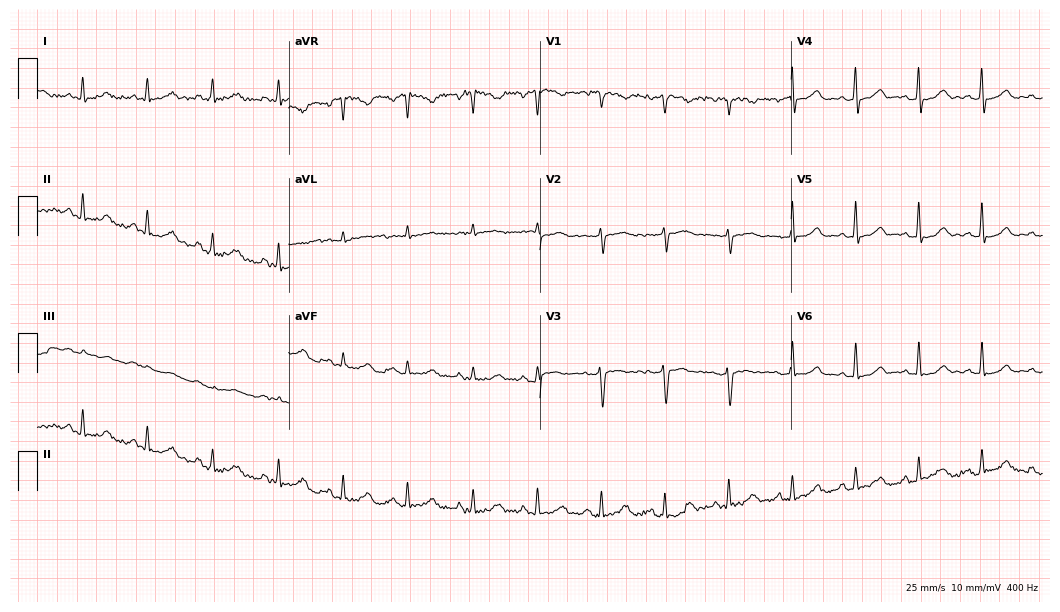
Resting 12-lead electrocardiogram. Patient: a female, 72 years old. Read as a normal ECG.